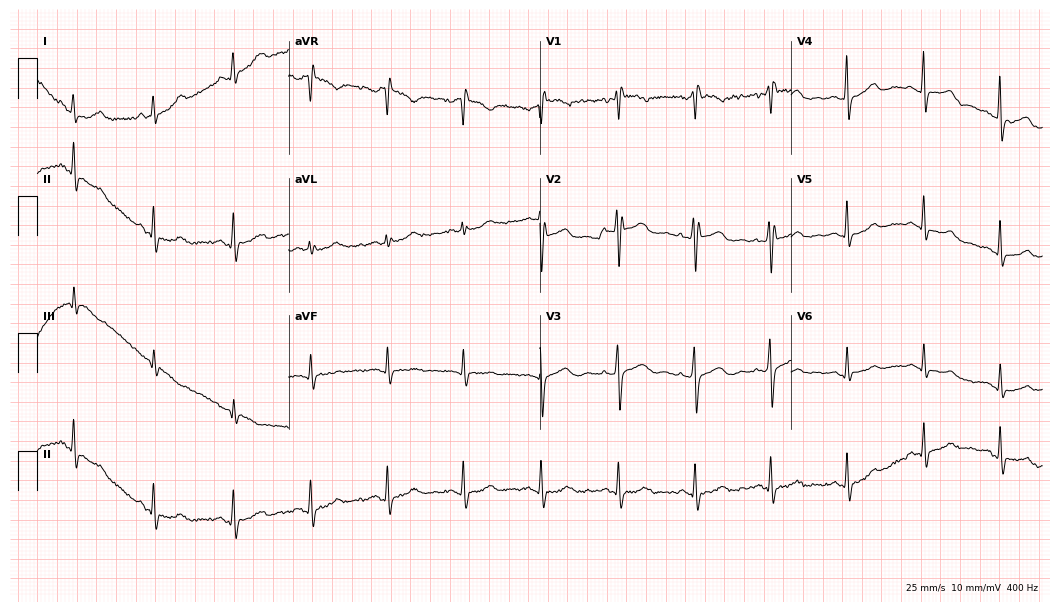
12-lead ECG from a 54-year-old woman. No first-degree AV block, right bundle branch block (RBBB), left bundle branch block (LBBB), sinus bradycardia, atrial fibrillation (AF) or sinus tachycardia recorded for this tracing.